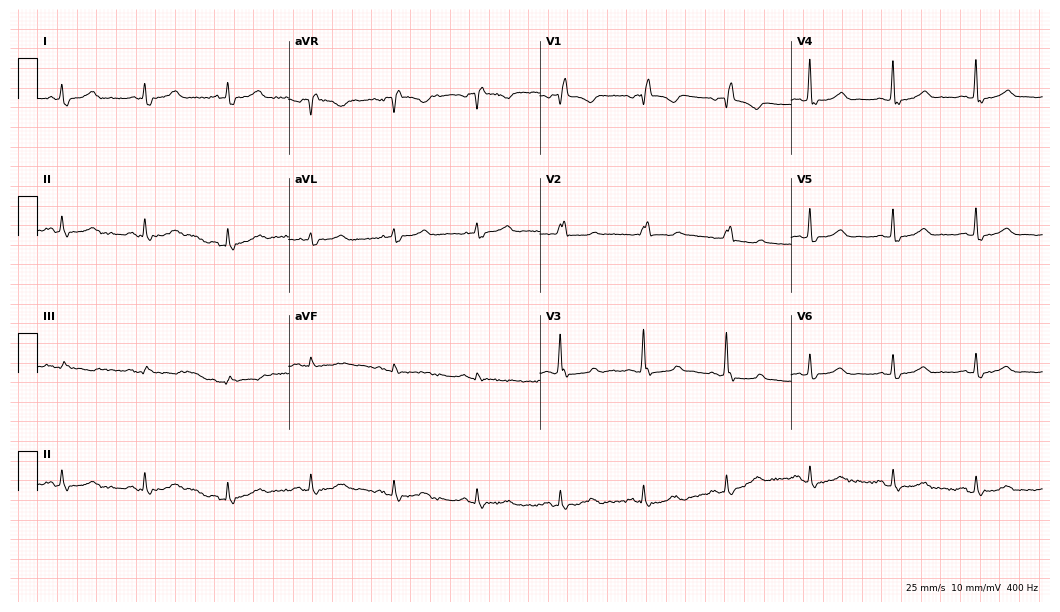
ECG (10.2-second recording at 400 Hz) — an 84-year-old female. Screened for six findings — first-degree AV block, right bundle branch block (RBBB), left bundle branch block (LBBB), sinus bradycardia, atrial fibrillation (AF), sinus tachycardia — none is recorded. Findings outside these six are not listed.